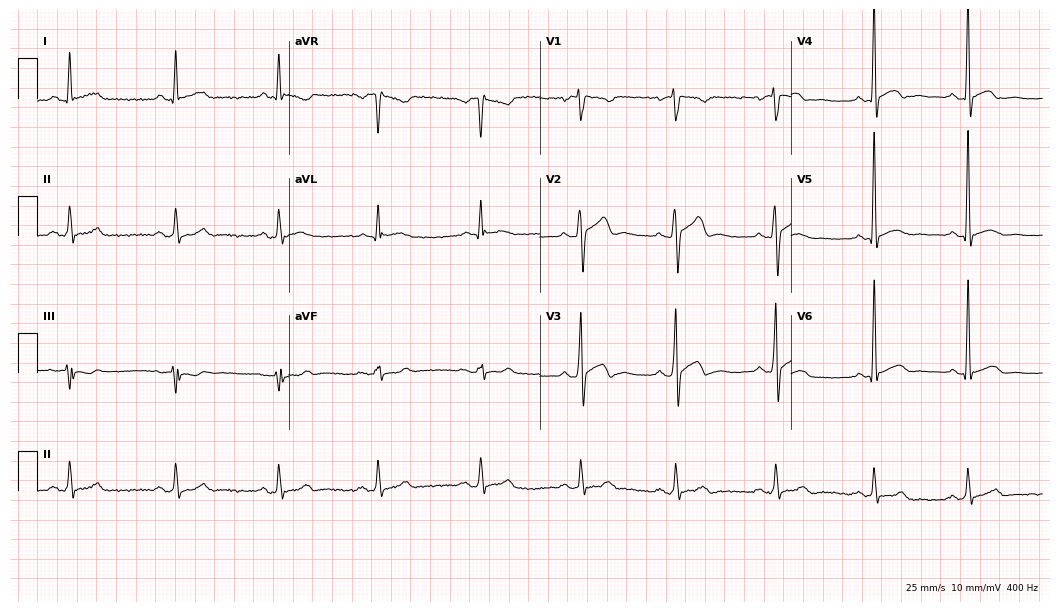
Electrocardiogram (10.2-second recording at 400 Hz), a male, 36 years old. Of the six screened findings (first-degree AV block, right bundle branch block, left bundle branch block, sinus bradycardia, atrial fibrillation, sinus tachycardia), none is recorded.